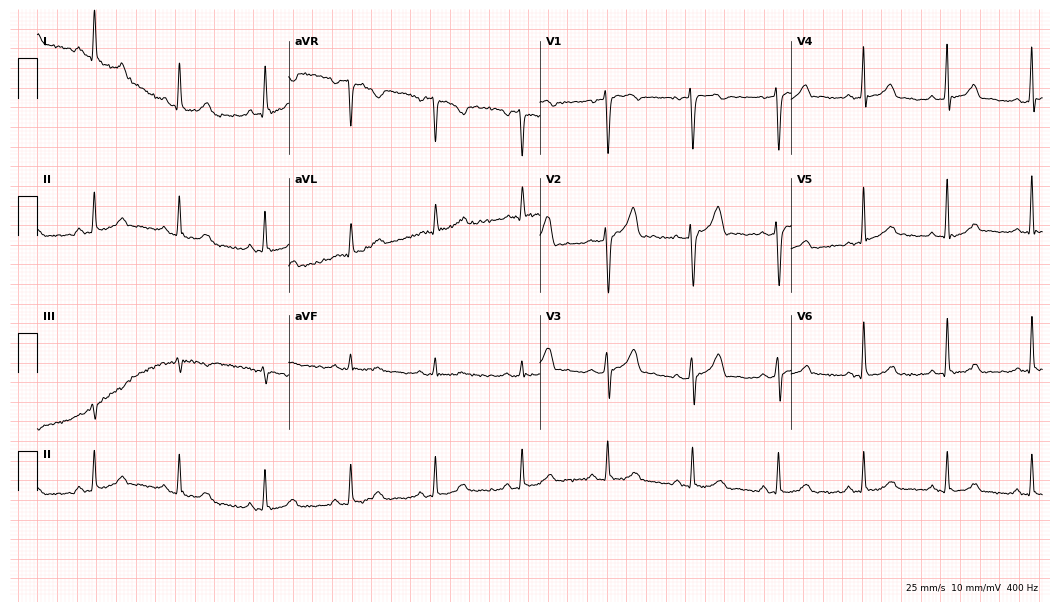
12-lead ECG from a man, 36 years old. Screened for six findings — first-degree AV block, right bundle branch block, left bundle branch block, sinus bradycardia, atrial fibrillation, sinus tachycardia — none is recorded.